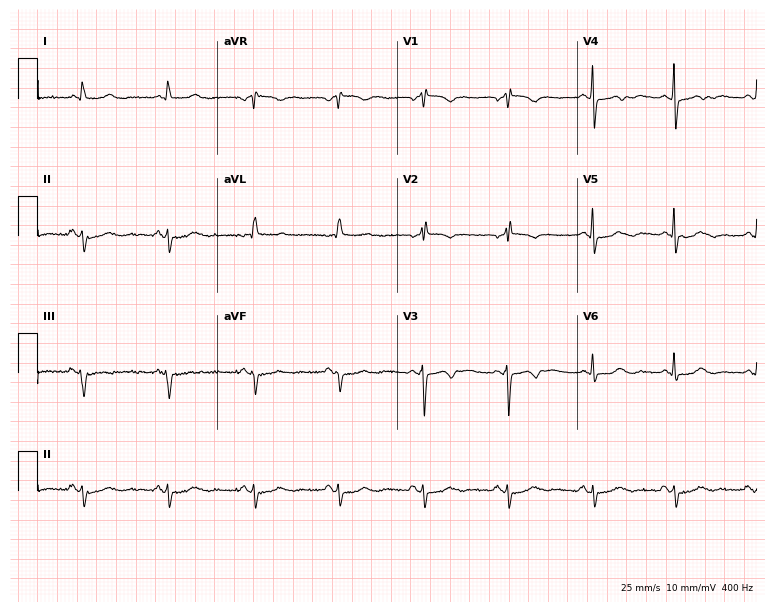
ECG — a 54-year-old female. Screened for six findings — first-degree AV block, right bundle branch block, left bundle branch block, sinus bradycardia, atrial fibrillation, sinus tachycardia — none is recorded. Other findings, if any, are not listed.